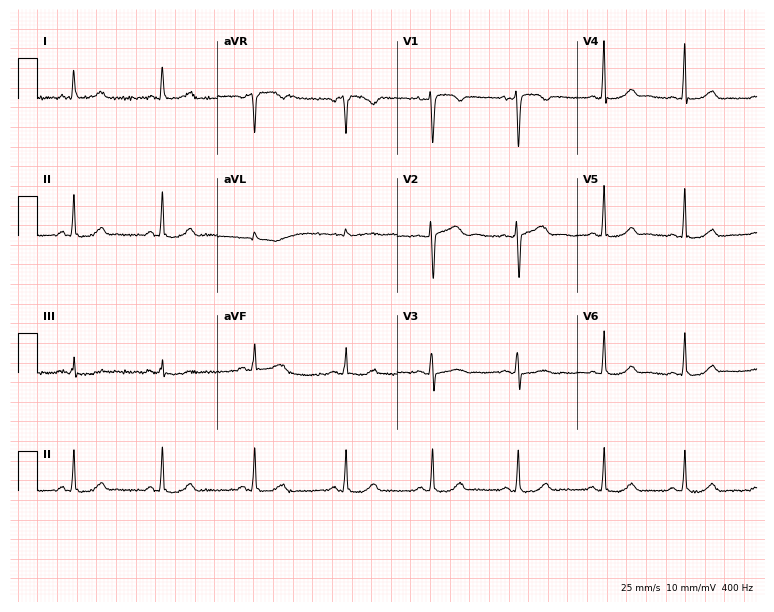
ECG — a female patient, 49 years old. Screened for six findings — first-degree AV block, right bundle branch block, left bundle branch block, sinus bradycardia, atrial fibrillation, sinus tachycardia — none is recorded. Findings outside these six are not listed.